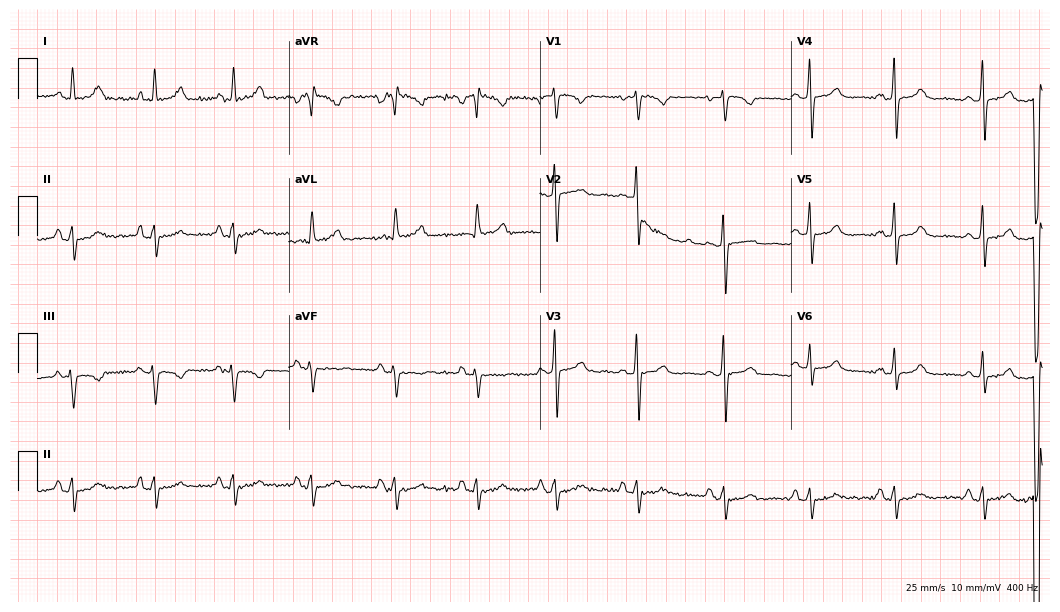
ECG (10.2-second recording at 400 Hz) — a woman, 63 years old. Screened for six findings — first-degree AV block, right bundle branch block, left bundle branch block, sinus bradycardia, atrial fibrillation, sinus tachycardia — none is recorded. Only these six findings were labelled.